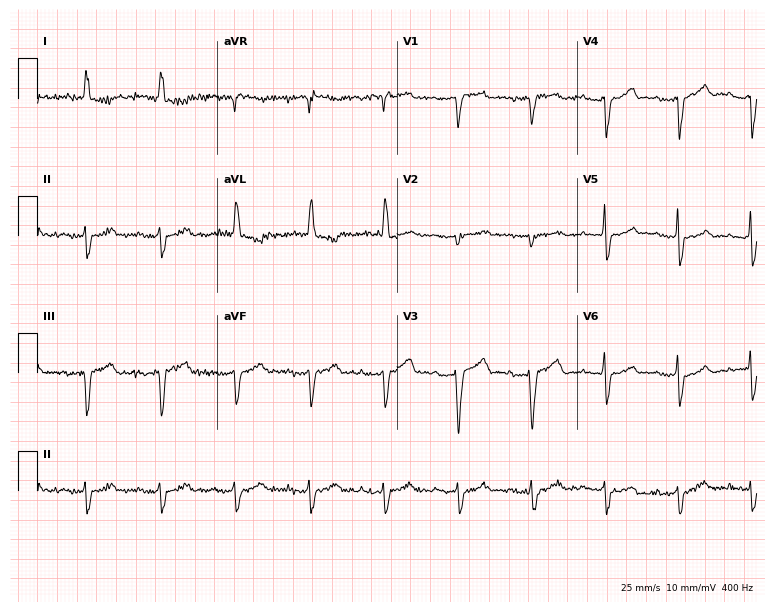
12-lead ECG from a male, 86 years old (7.3-second recording at 400 Hz). No first-degree AV block, right bundle branch block (RBBB), left bundle branch block (LBBB), sinus bradycardia, atrial fibrillation (AF) or sinus tachycardia recorded for this tracing.